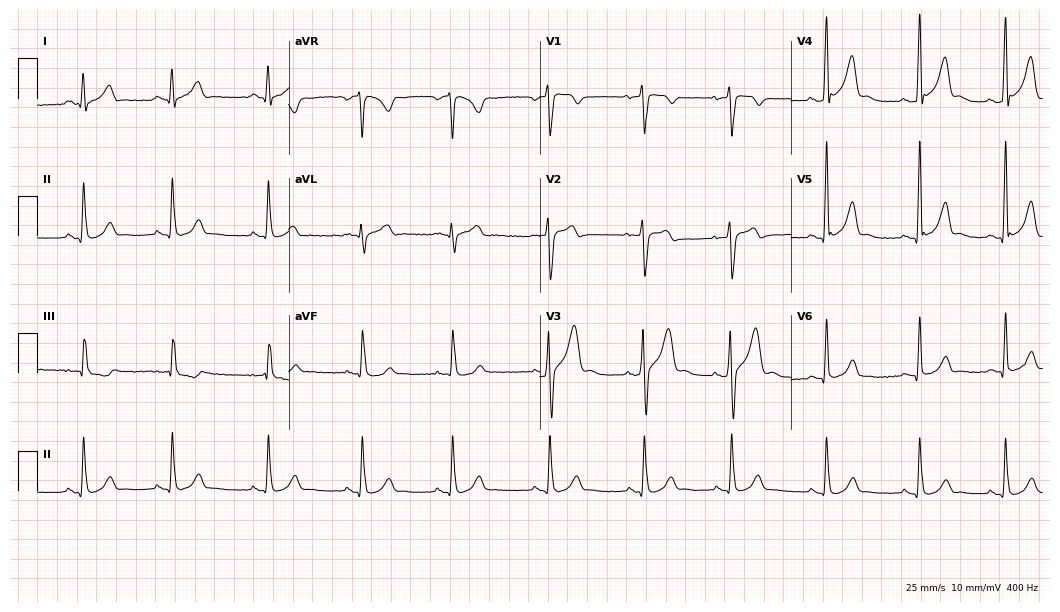
ECG (10.2-second recording at 400 Hz) — a 30-year-old male patient. Screened for six findings — first-degree AV block, right bundle branch block, left bundle branch block, sinus bradycardia, atrial fibrillation, sinus tachycardia — none is recorded. Other findings, if any, are not listed.